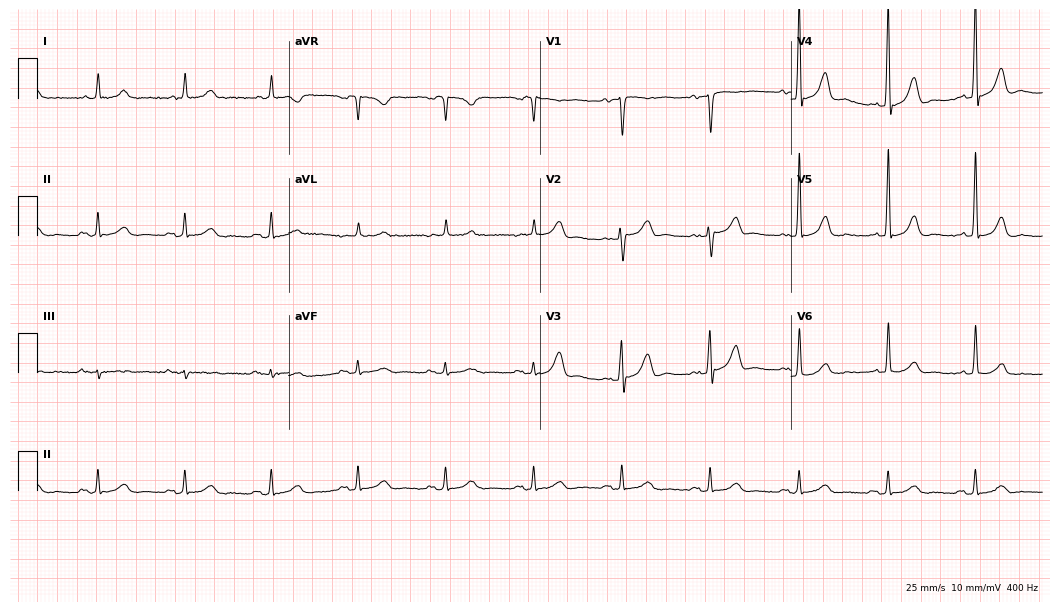
Standard 12-lead ECG recorded from a man, 60 years old (10.2-second recording at 400 Hz). None of these six findings is recorded: first-degree AV block, right bundle branch block, left bundle branch block, sinus bradycardia, atrial fibrillation, sinus tachycardia.